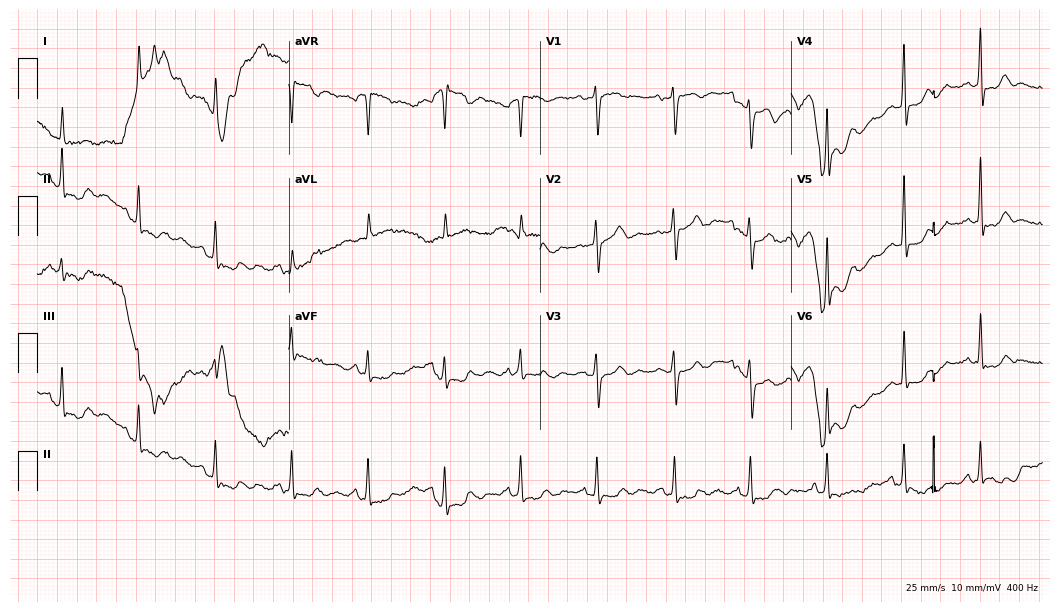
Electrocardiogram (10.2-second recording at 400 Hz), a 77-year-old female patient. Of the six screened findings (first-degree AV block, right bundle branch block (RBBB), left bundle branch block (LBBB), sinus bradycardia, atrial fibrillation (AF), sinus tachycardia), none is recorded. Findings outside these six are not listed.